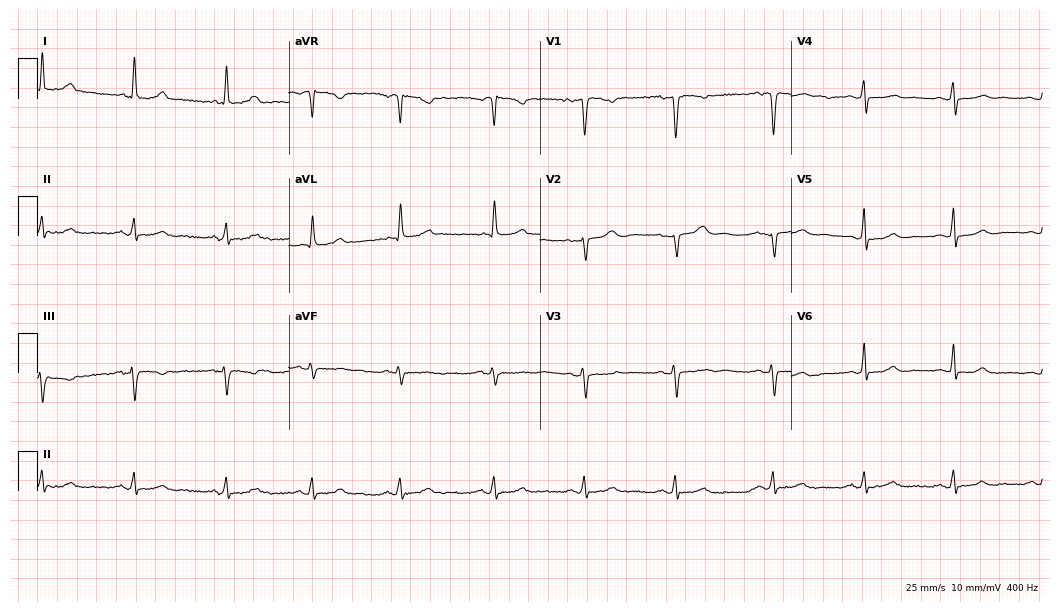
Resting 12-lead electrocardiogram (10.2-second recording at 400 Hz). Patient: a female, 47 years old. Read as a normal ECG.